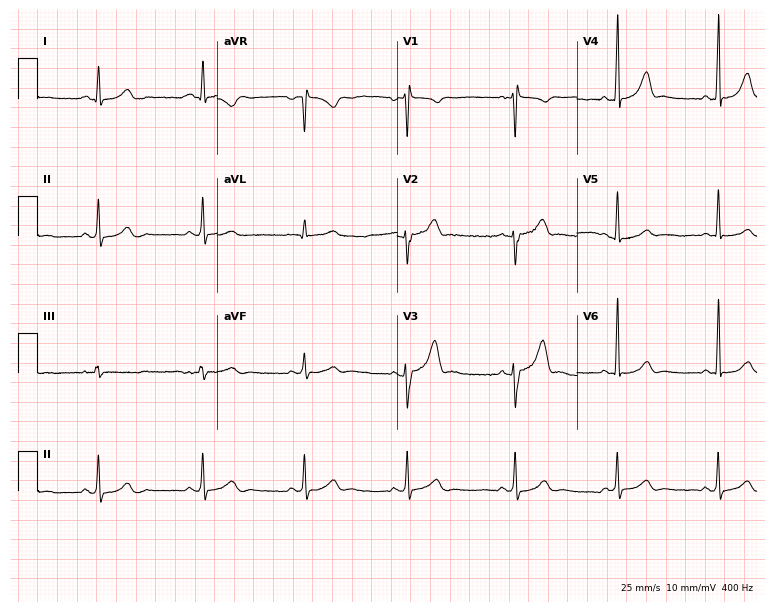
12-lead ECG from a 32-year-old male. No first-degree AV block, right bundle branch block, left bundle branch block, sinus bradycardia, atrial fibrillation or sinus tachycardia recorded for this tracing.